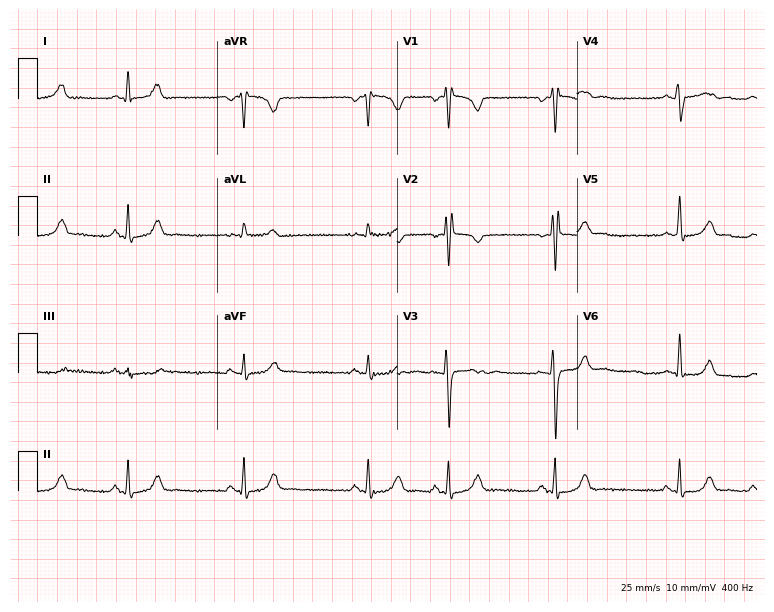
ECG — a 27-year-old woman. Screened for six findings — first-degree AV block, right bundle branch block, left bundle branch block, sinus bradycardia, atrial fibrillation, sinus tachycardia — none is recorded.